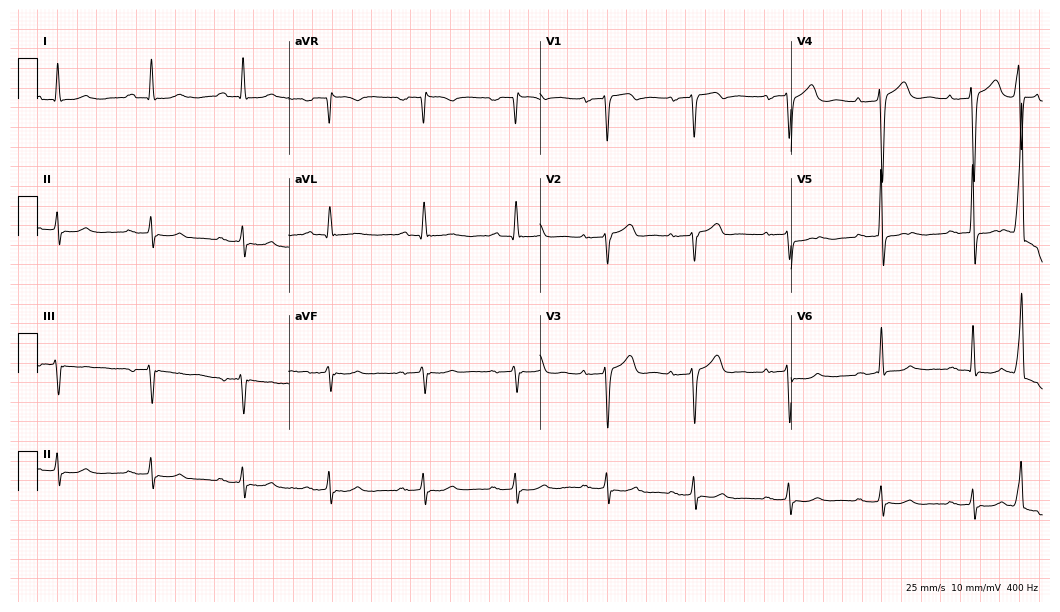
Electrocardiogram, a man, 84 years old. Interpretation includes first-degree AV block.